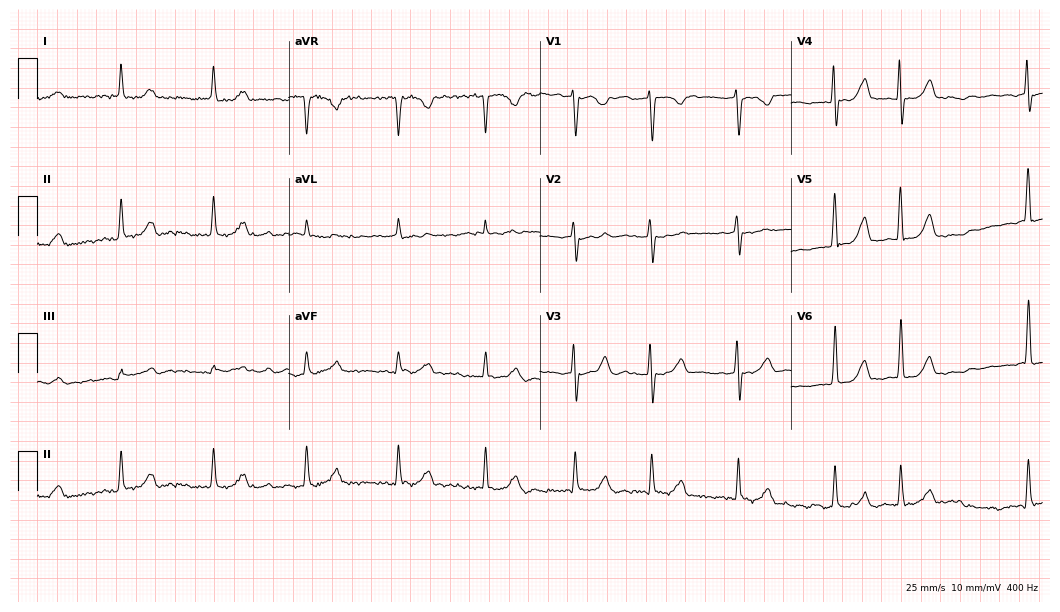
Standard 12-lead ECG recorded from a woman, 57 years old. The tracing shows atrial fibrillation.